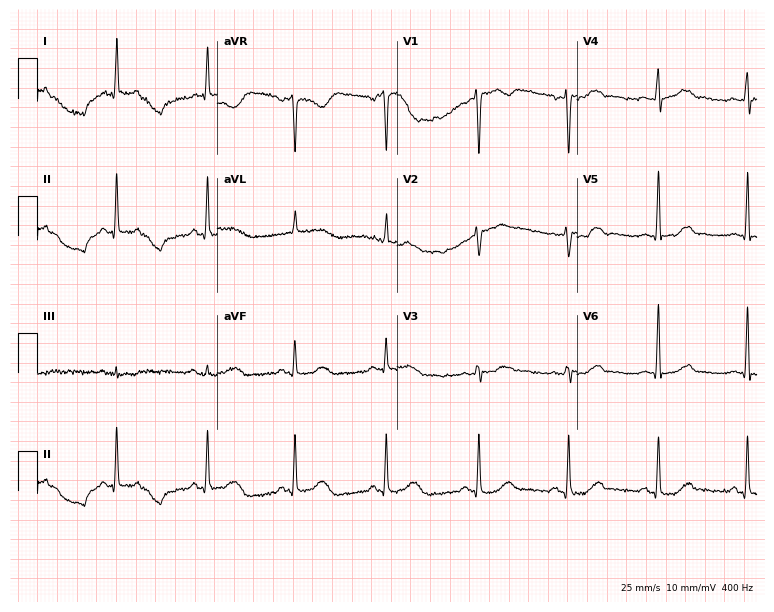
Electrocardiogram (7.3-second recording at 400 Hz), a woman, 50 years old. Of the six screened findings (first-degree AV block, right bundle branch block (RBBB), left bundle branch block (LBBB), sinus bradycardia, atrial fibrillation (AF), sinus tachycardia), none is recorded.